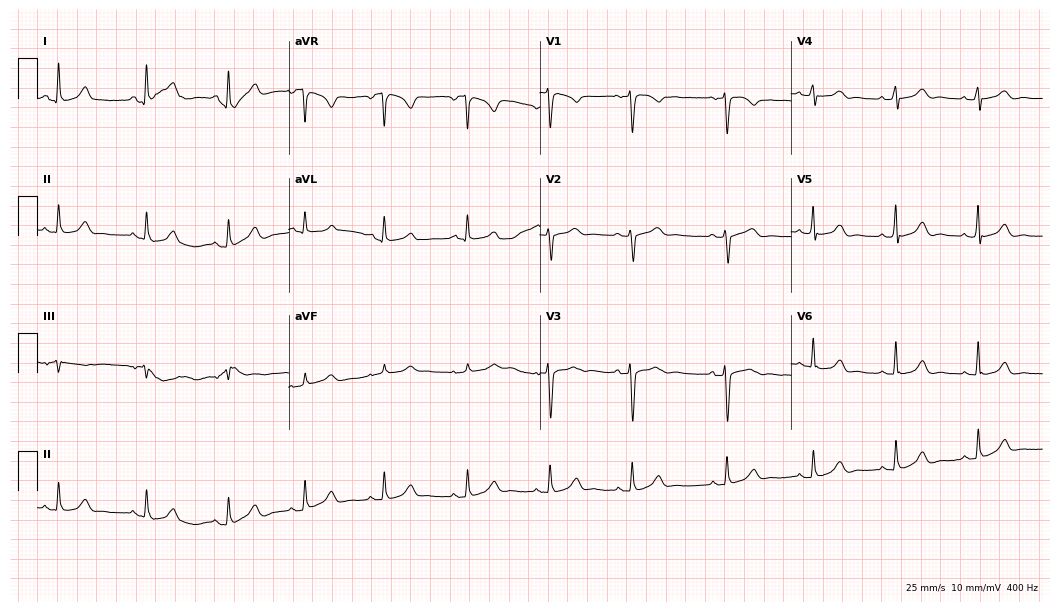
12-lead ECG from a 35-year-old female patient. Recorded interpretation: within normal limits.